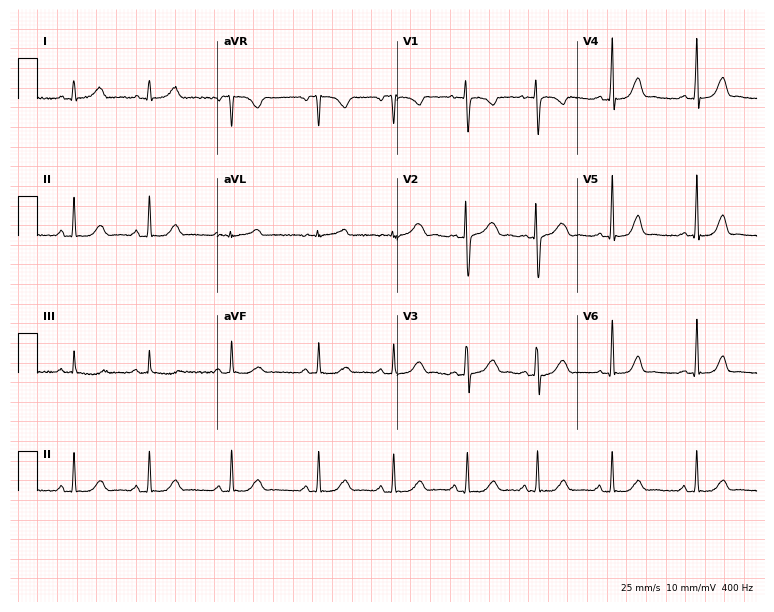
ECG (7.3-second recording at 400 Hz) — a female patient, 22 years old. Labelled as a normal ECG.